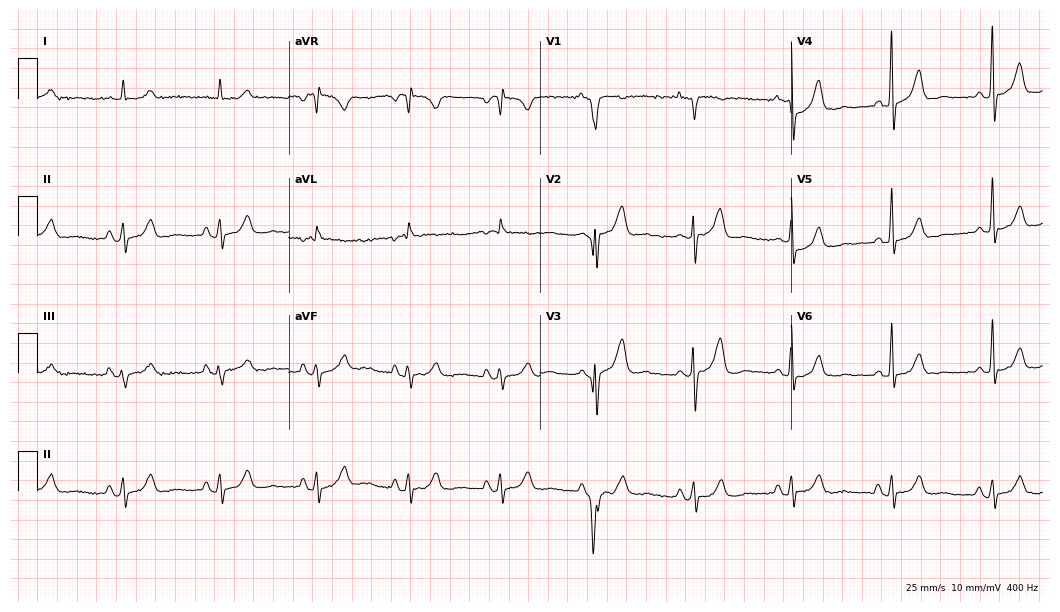
12-lead ECG (10.2-second recording at 400 Hz) from a man, 81 years old. Screened for six findings — first-degree AV block, right bundle branch block (RBBB), left bundle branch block (LBBB), sinus bradycardia, atrial fibrillation (AF), sinus tachycardia — none is recorded. Findings outside these six are not listed.